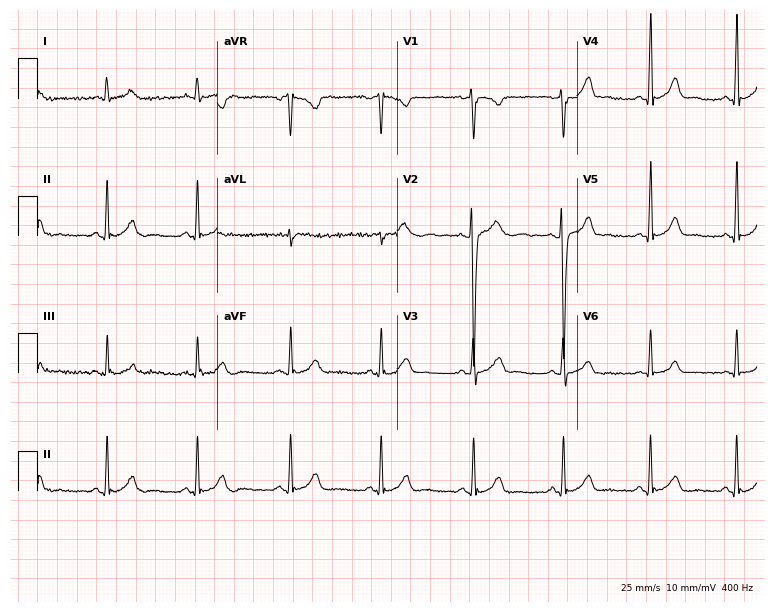
Resting 12-lead electrocardiogram. Patient: a 26-year-old man. Read as a normal ECG.